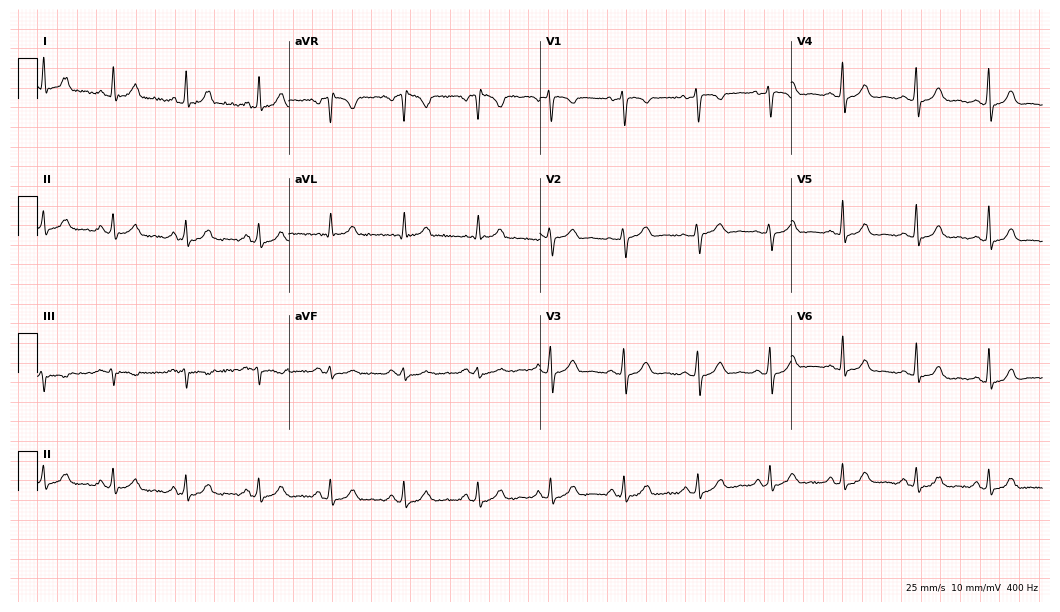
Resting 12-lead electrocardiogram (10.2-second recording at 400 Hz). Patient: a 48-year-old woman. None of these six findings is recorded: first-degree AV block, right bundle branch block, left bundle branch block, sinus bradycardia, atrial fibrillation, sinus tachycardia.